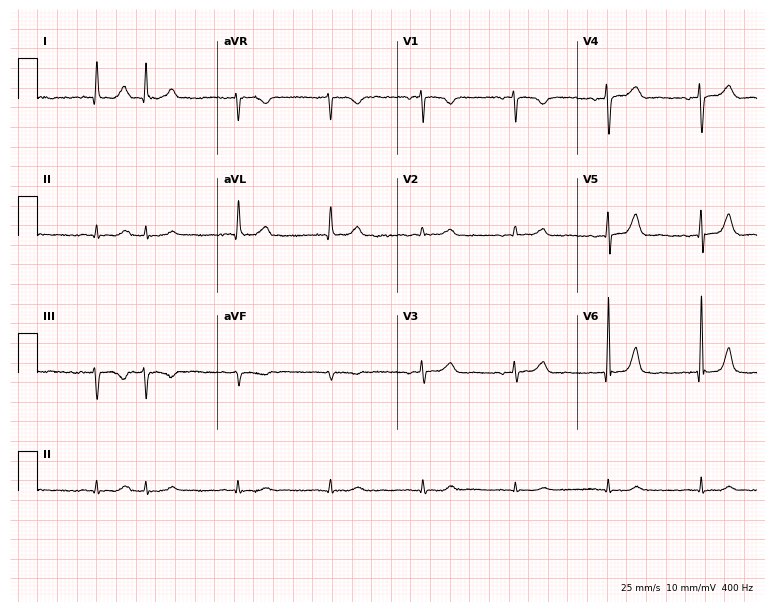
ECG — a female patient, 83 years old. Screened for six findings — first-degree AV block, right bundle branch block, left bundle branch block, sinus bradycardia, atrial fibrillation, sinus tachycardia — none is recorded.